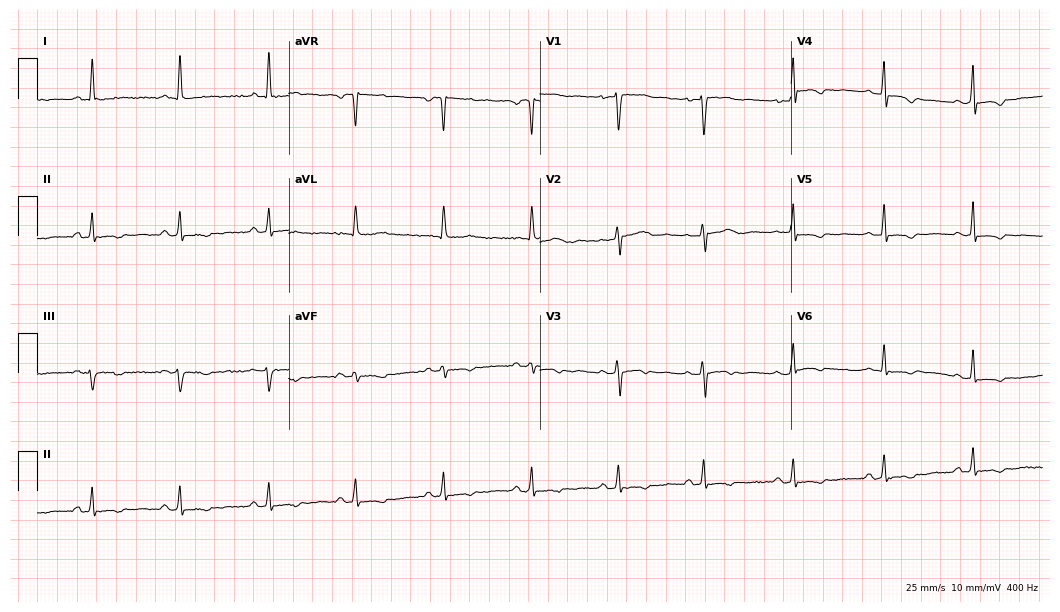
12-lead ECG (10.2-second recording at 400 Hz) from a 39-year-old female. Screened for six findings — first-degree AV block, right bundle branch block, left bundle branch block, sinus bradycardia, atrial fibrillation, sinus tachycardia — none is recorded.